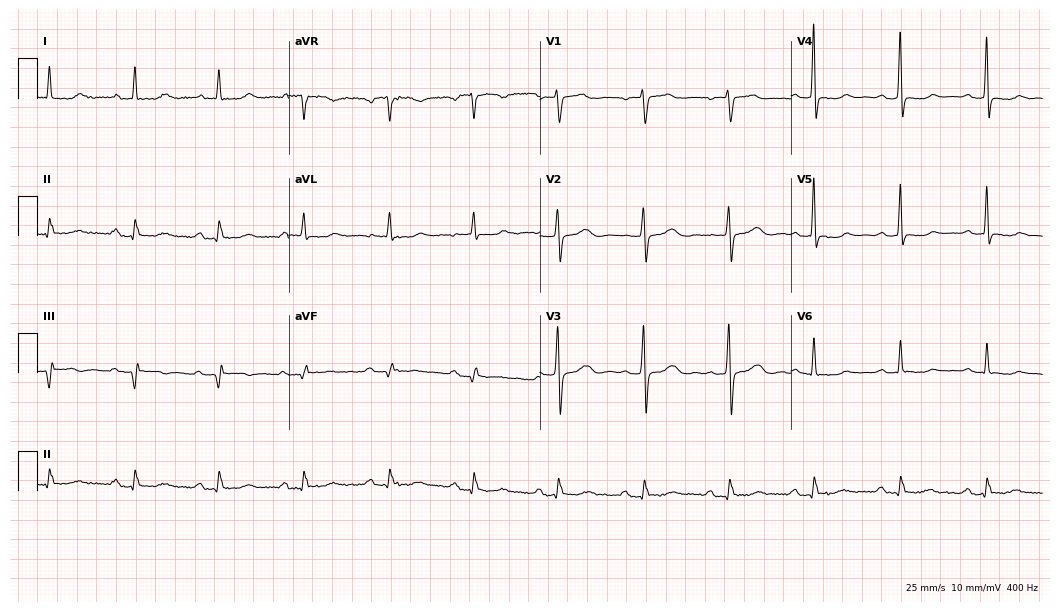
Standard 12-lead ECG recorded from a female patient, 74 years old. None of these six findings is recorded: first-degree AV block, right bundle branch block, left bundle branch block, sinus bradycardia, atrial fibrillation, sinus tachycardia.